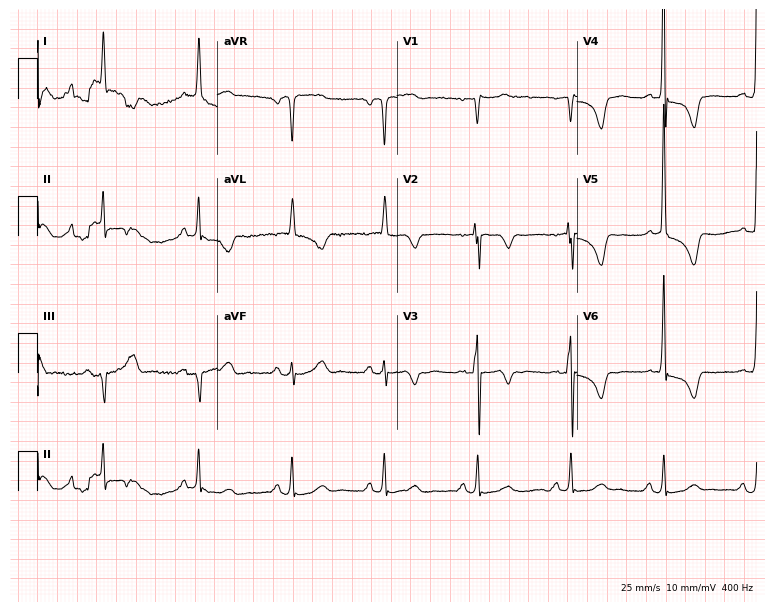
12-lead ECG from a man, 74 years old. No first-degree AV block, right bundle branch block (RBBB), left bundle branch block (LBBB), sinus bradycardia, atrial fibrillation (AF) or sinus tachycardia recorded for this tracing.